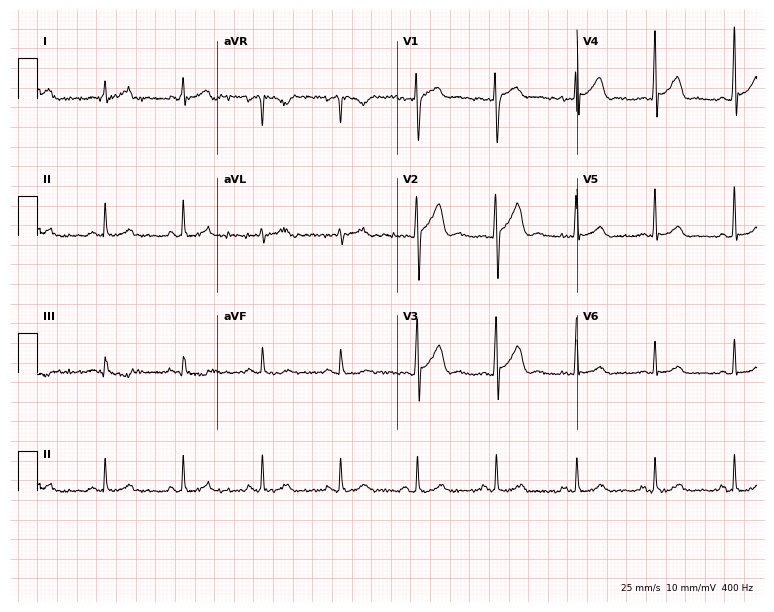
ECG (7.3-second recording at 400 Hz) — a 23-year-old man. Labelled as a normal ECG.